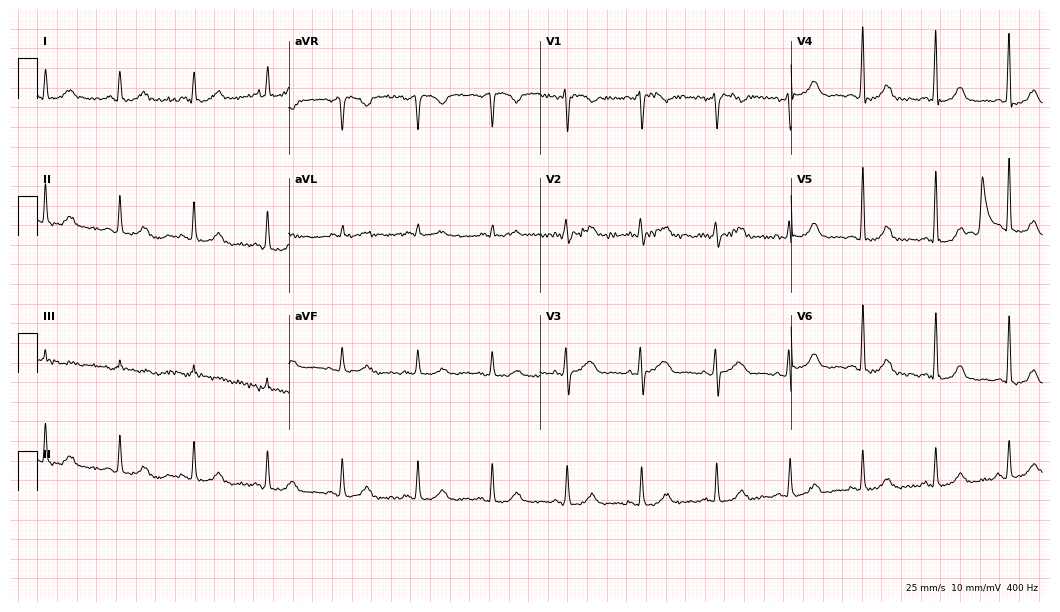
Resting 12-lead electrocardiogram (10.2-second recording at 400 Hz). Patient: a 64-year-old female. Read as a normal ECG.